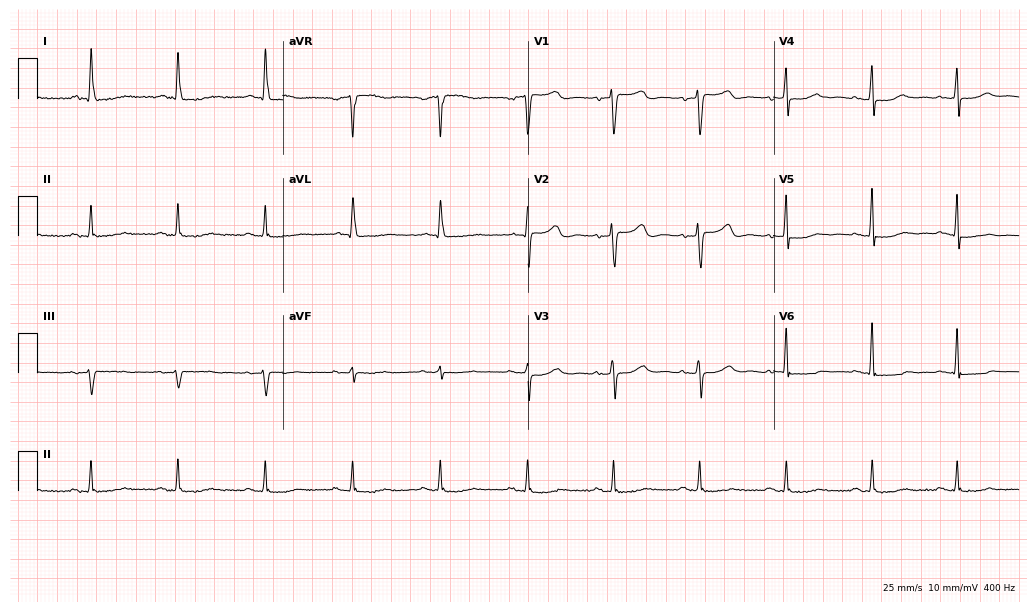
Standard 12-lead ECG recorded from a female, 75 years old. None of these six findings is recorded: first-degree AV block, right bundle branch block, left bundle branch block, sinus bradycardia, atrial fibrillation, sinus tachycardia.